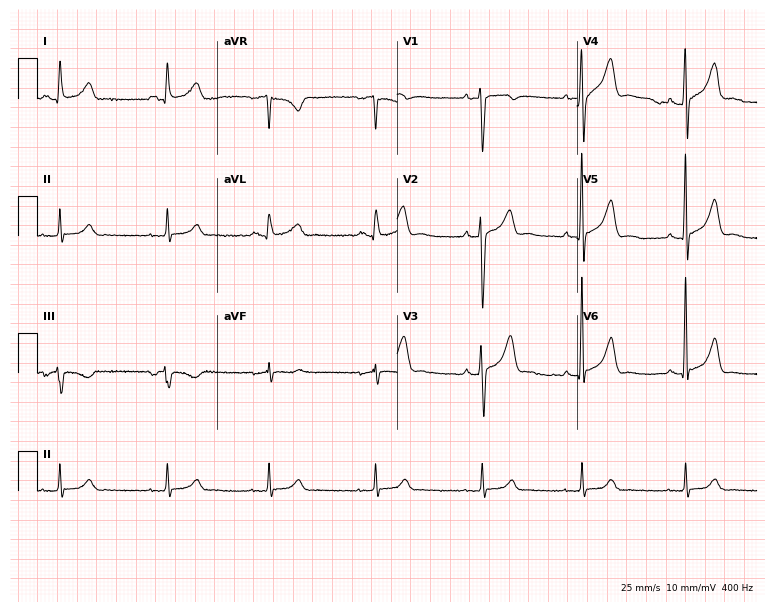
Standard 12-lead ECG recorded from a 44-year-old man (7.3-second recording at 400 Hz). Read as a normal ECG.